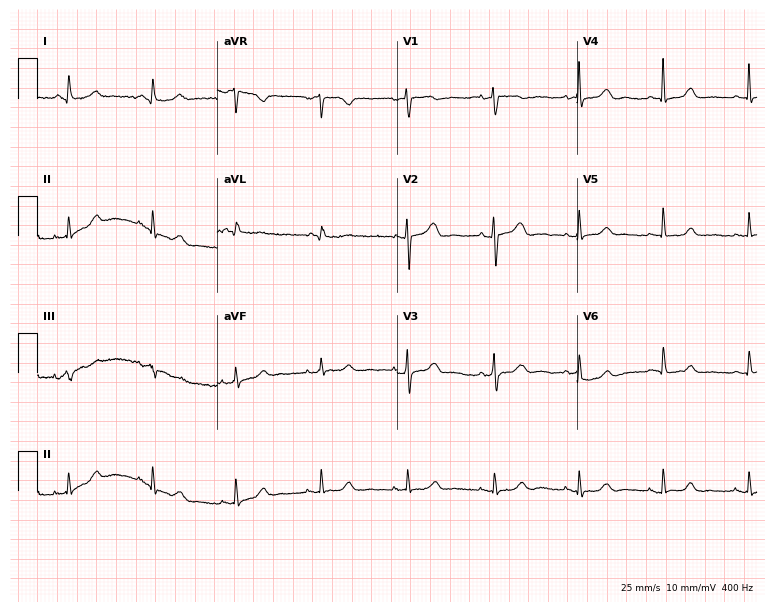
12-lead ECG from a 61-year-old woman (7.3-second recording at 400 Hz). Recorded interpretation: within normal limits.